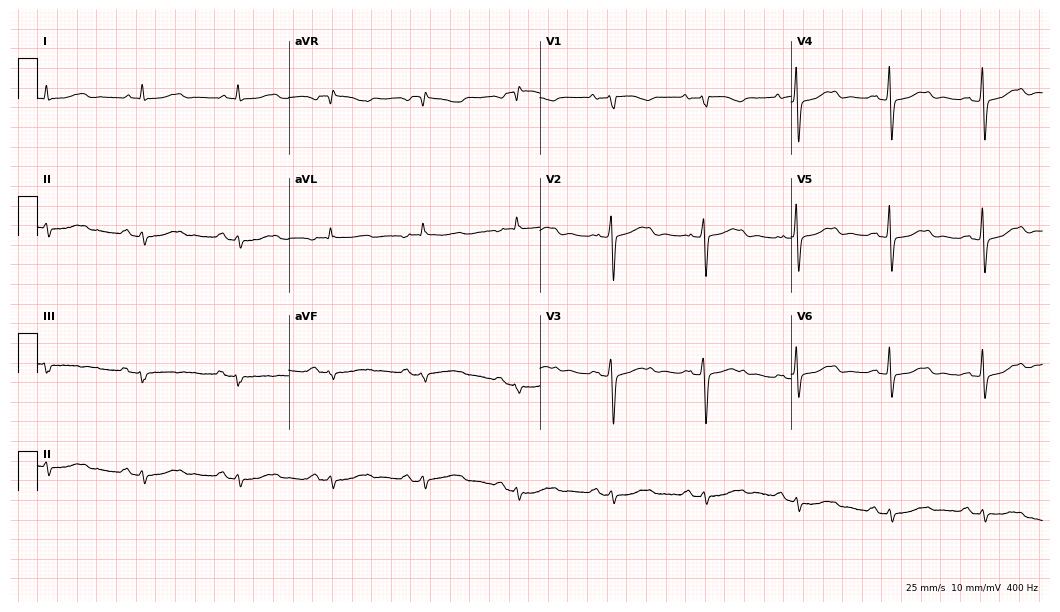
Electrocardiogram, a 70-year-old female patient. Of the six screened findings (first-degree AV block, right bundle branch block (RBBB), left bundle branch block (LBBB), sinus bradycardia, atrial fibrillation (AF), sinus tachycardia), none is recorded. Only these six findings were labelled.